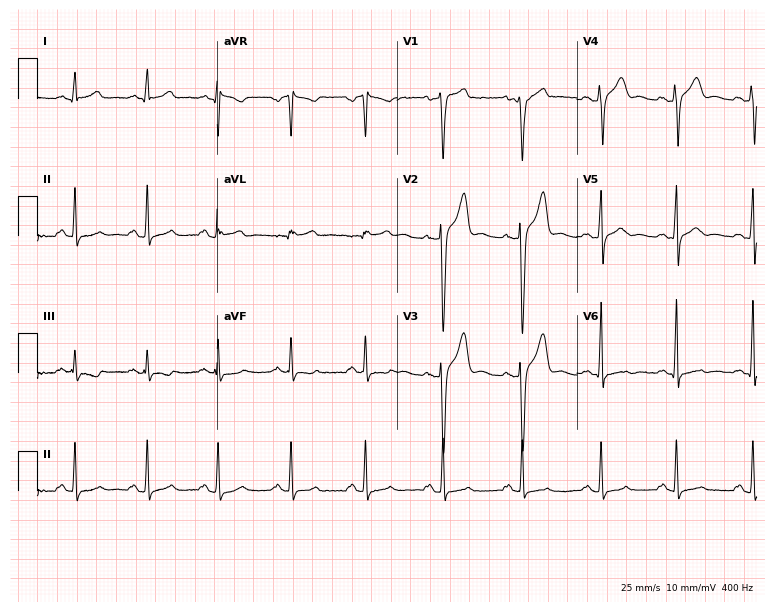
Electrocardiogram, a 34-year-old man. Overall reading on record: normal ECG.